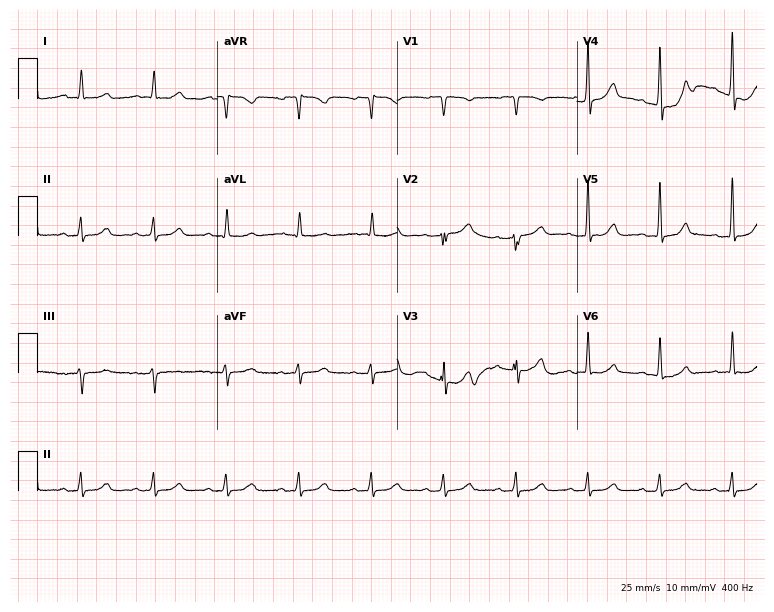
12-lead ECG from an 83-year-old female. No first-degree AV block, right bundle branch block, left bundle branch block, sinus bradycardia, atrial fibrillation or sinus tachycardia recorded for this tracing.